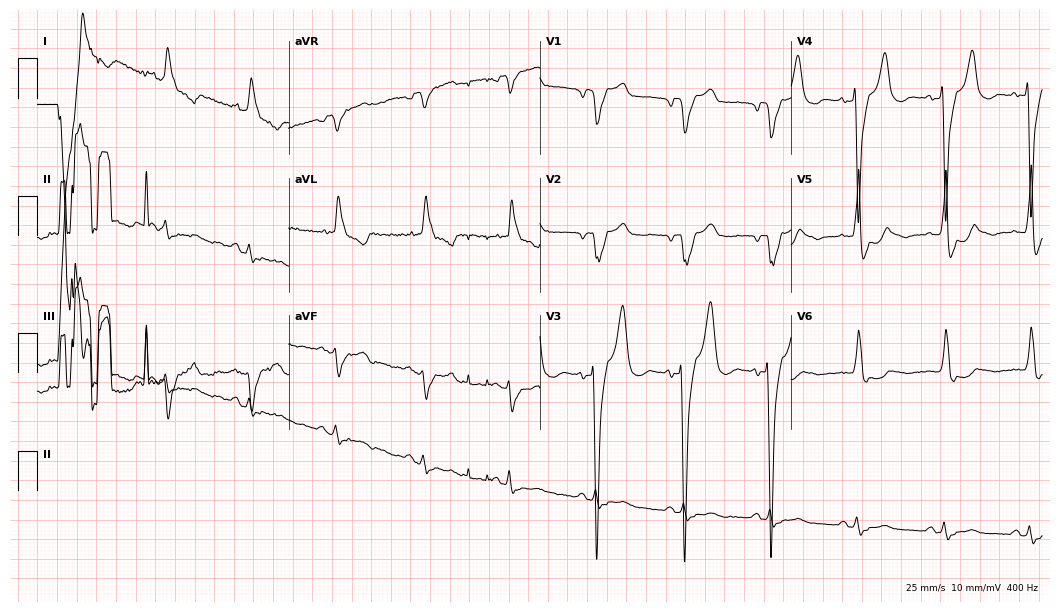
12-lead ECG from a man, 73 years old. No first-degree AV block, right bundle branch block, left bundle branch block, sinus bradycardia, atrial fibrillation or sinus tachycardia recorded for this tracing. Other findings, if any, are not listed.